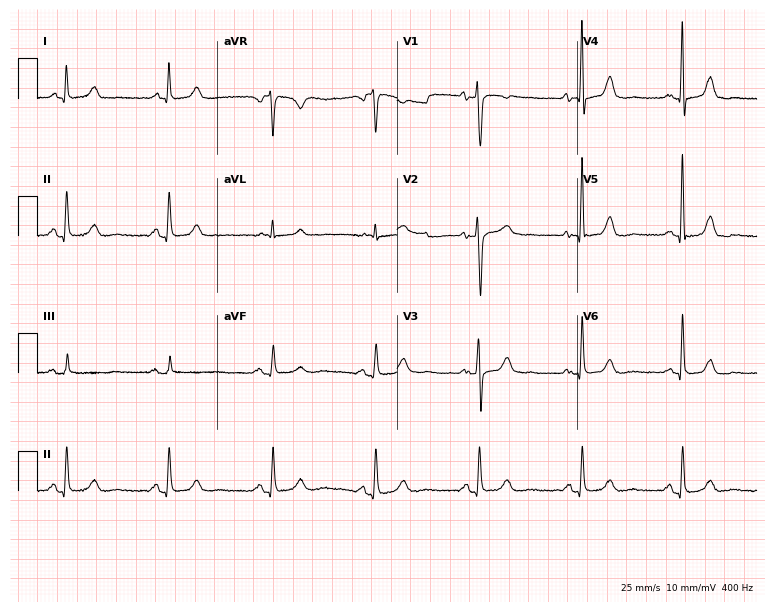
Standard 12-lead ECG recorded from a female, 69 years old (7.3-second recording at 400 Hz). Read as a normal ECG.